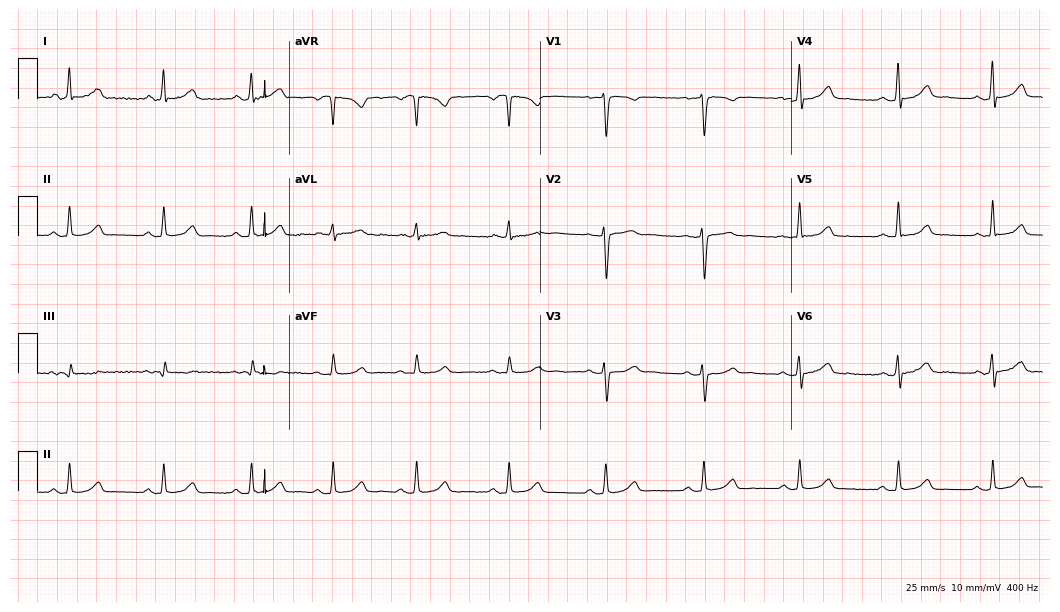
Electrocardiogram, a 34-year-old female. Overall reading on record: normal ECG.